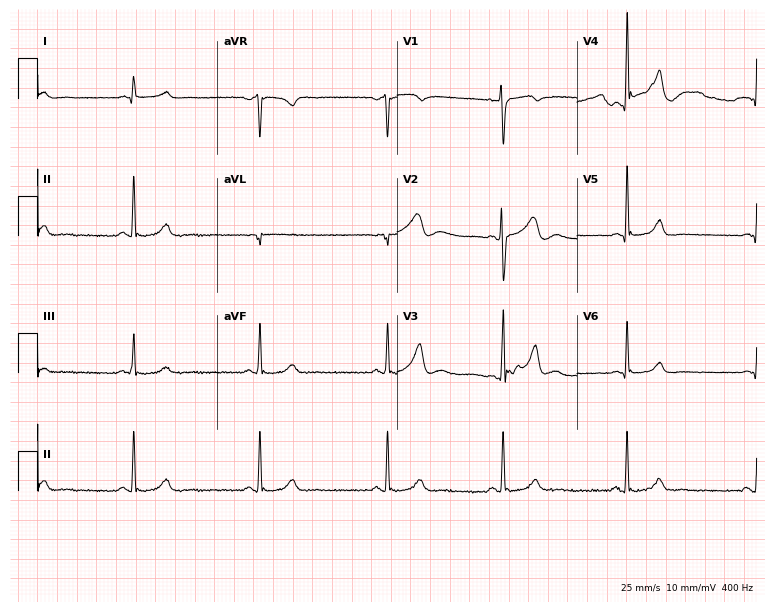
Standard 12-lead ECG recorded from a 28-year-old male (7.3-second recording at 400 Hz). The tracing shows sinus bradycardia (a sinus rate of 50 beats per minute or less).